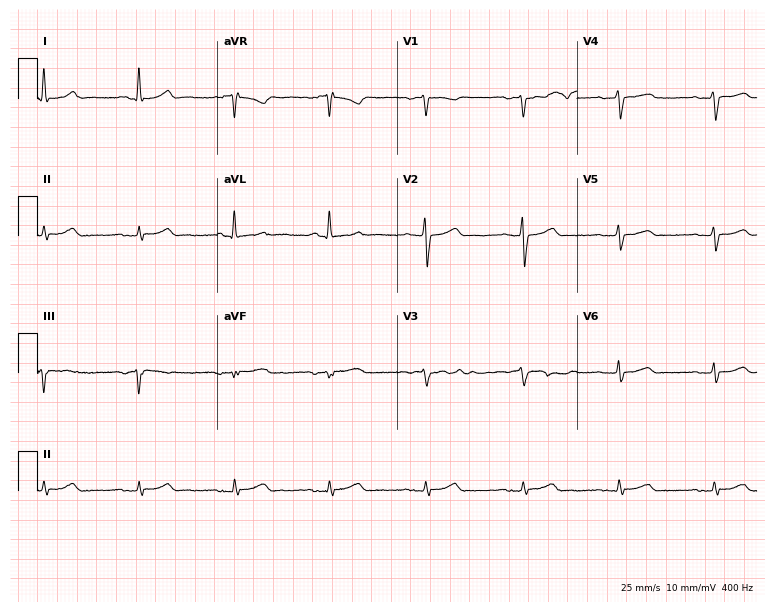
Resting 12-lead electrocardiogram (7.3-second recording at 400 Hz). Patient: a 73-year-old female. Read as a normal ECG.